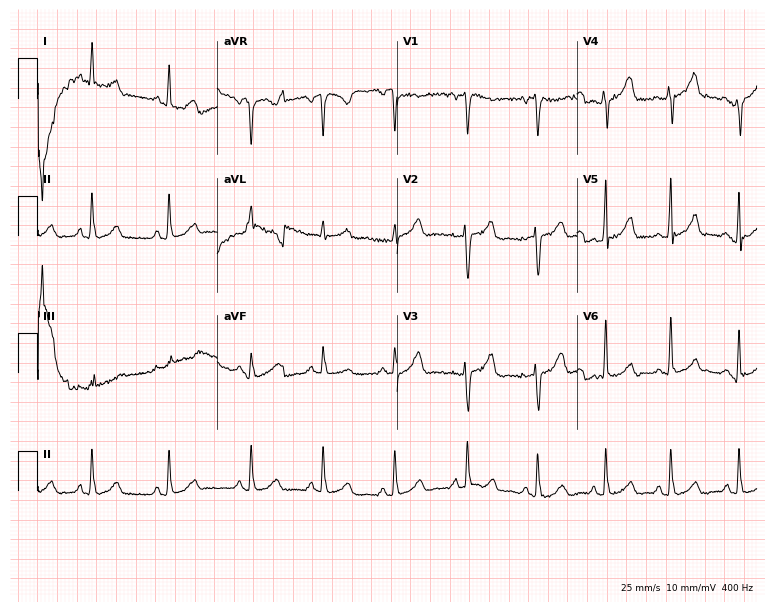
12-lead ECG (7.3-second recording at 400 Hz) from a 35-year-old female patient. Labelled as a normal ECG.